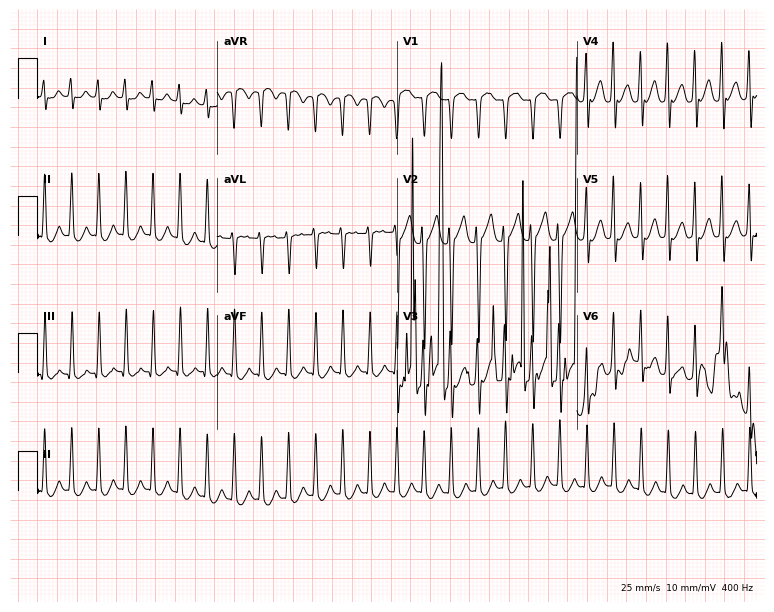
12-lead ECG from a male, 18 years old (7.3-second recording at 400 Hz). Shows sinus tachycardia (a sinus rate of 100 beats per minute or more).